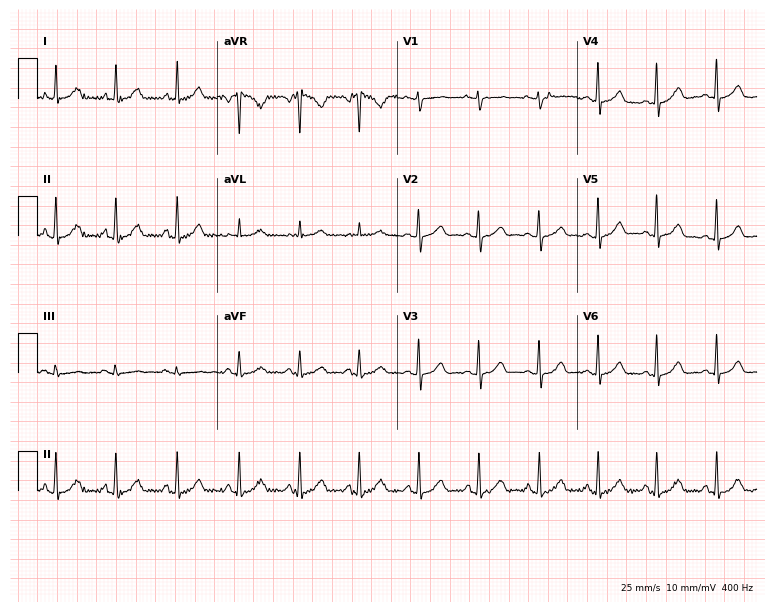
12-lead ECG from a 39-year-old woman (7.3-second recording at 400 Hz). Recorded interpretation: within normal limits.